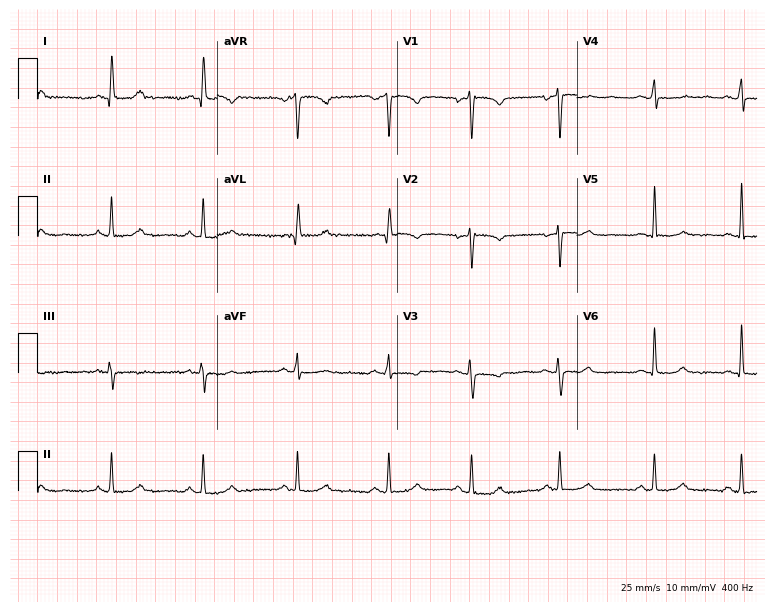
Electrocardiogram, a female patient, 49 years old. Of the six screened findings (first-degree AV block, right bundle branch block, left bundle branch block, sinus bradycardia, atrial fibrillation, sinus tachycardia), none is recorded. Other findings, if any, are not listed.